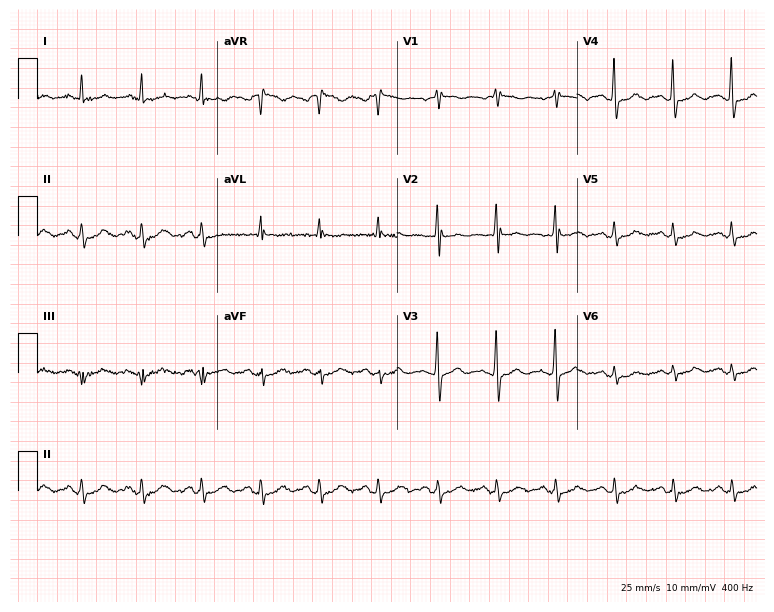
12-lead ECG from a woman, 60 years old. Screened for six findings — first-degree AV block, right bundle branch block, left bundle branch block, sinus bradycardia, atrial fibrillation, sinus tachycardia — none is recorded.